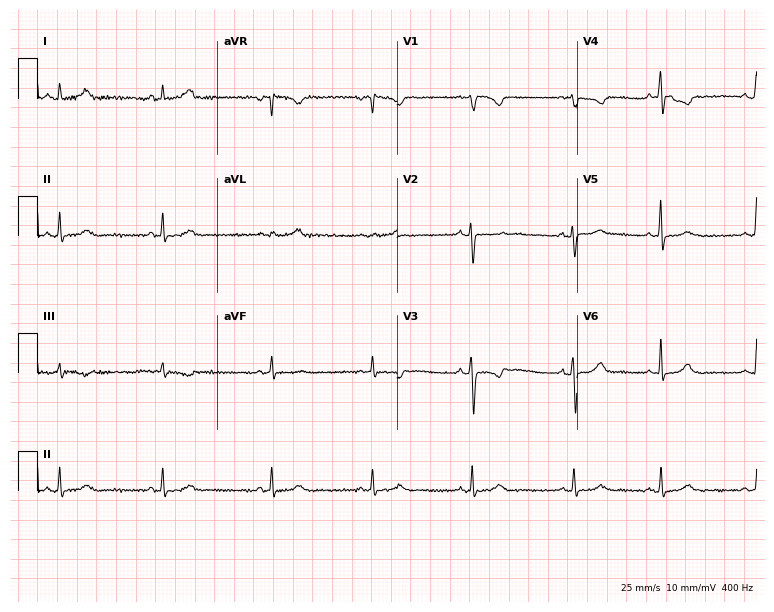
Standard 12-lead ECG recorded from a 20-year-old female (7.3-second recording at 400 Hz). Read as a normal ECG.